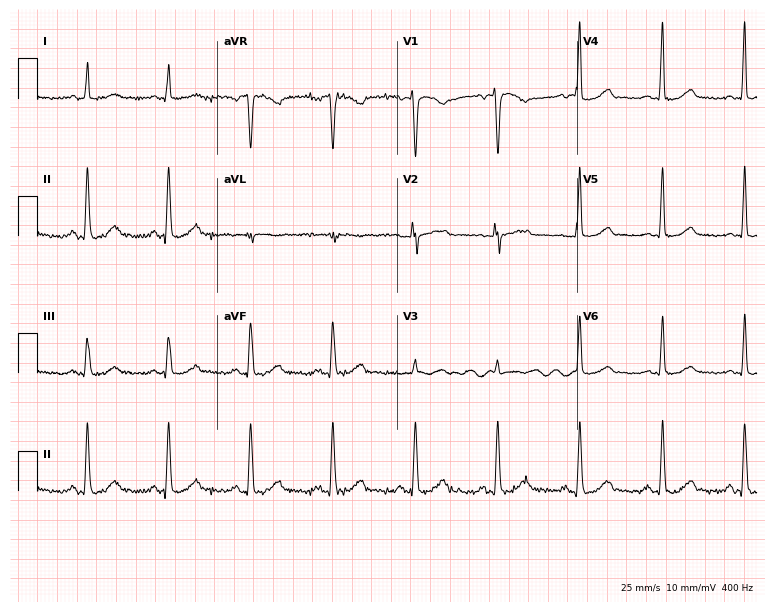
Electrocardiogram (7.3-second recording at 400 Hz), a 47-year-old woman. Overall reading on record: normal ECG.